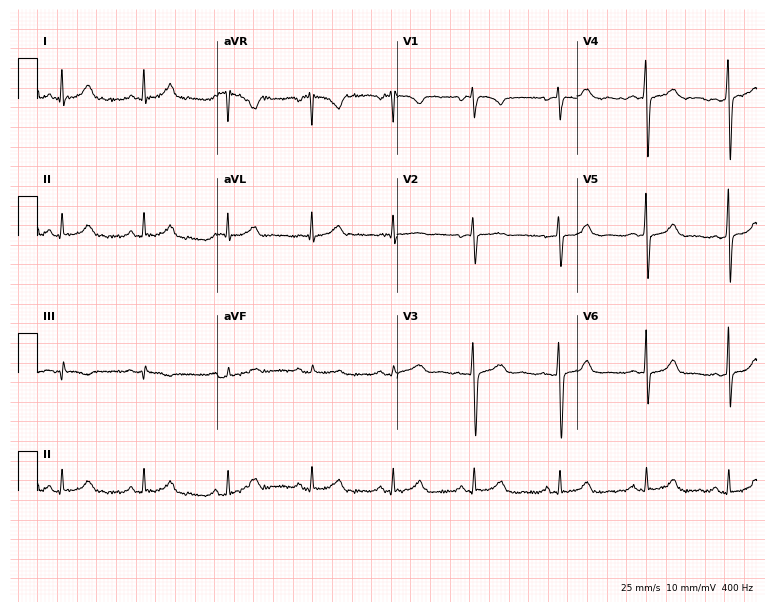
12-lead ECG from a 41-year-old female patient. Labelled as a normal ECG.